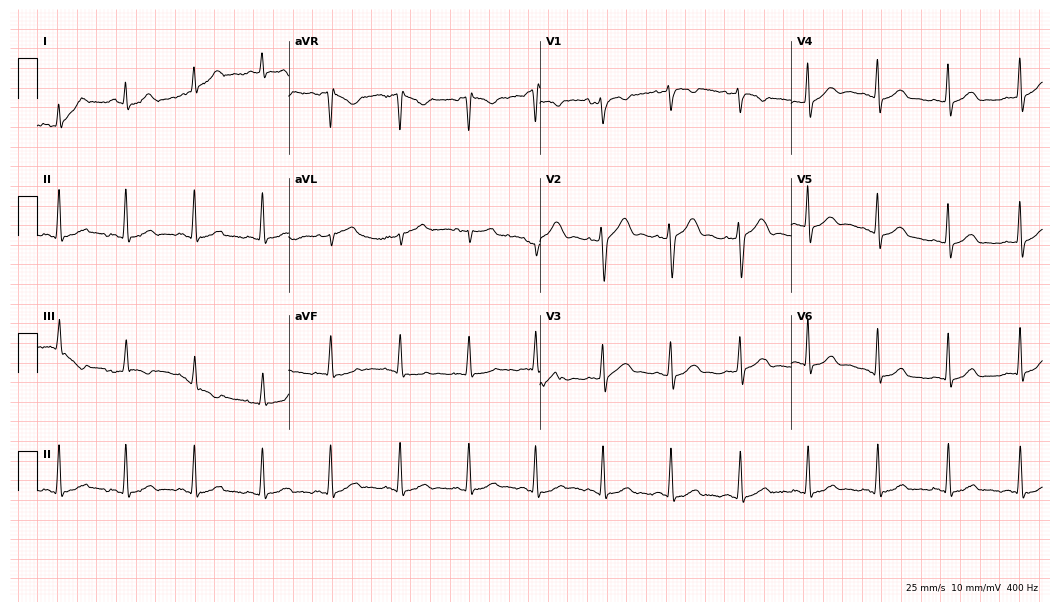
Electrocardiogram (10.2-second recording at 400 Hz), a female patient, 32 years old. Of the six screened findings (first-degree AV block, right bundle branch block, left bundle branch block, sinus bradycardia, atrial fibrillation, sinus tachycardia), none is recorded. Findings outside these six are not listed.